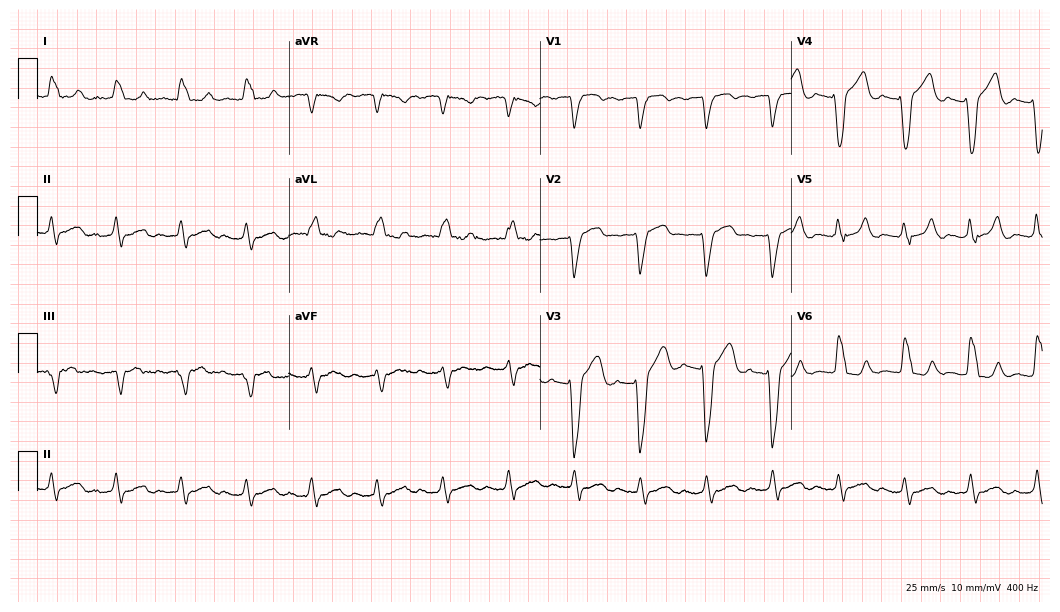
12-lead ECG from a male, 77 years old. Findings include left bundle branch block.